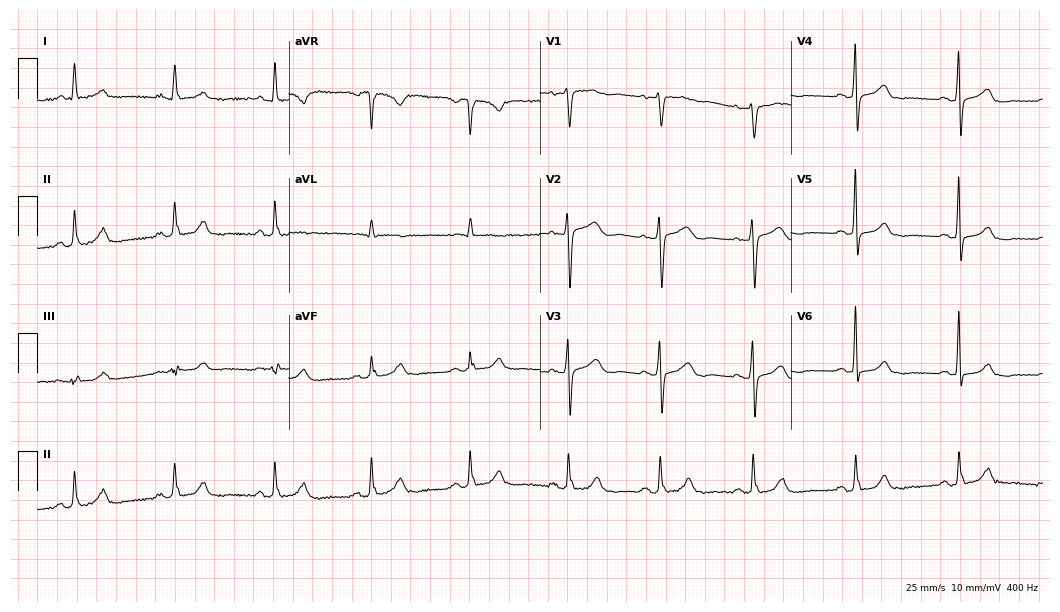
Resting 12-lead electrocardiogram (10.2-second recording at 400 Hz). Patient: a female, 76 years old. Read as a normal ECG.